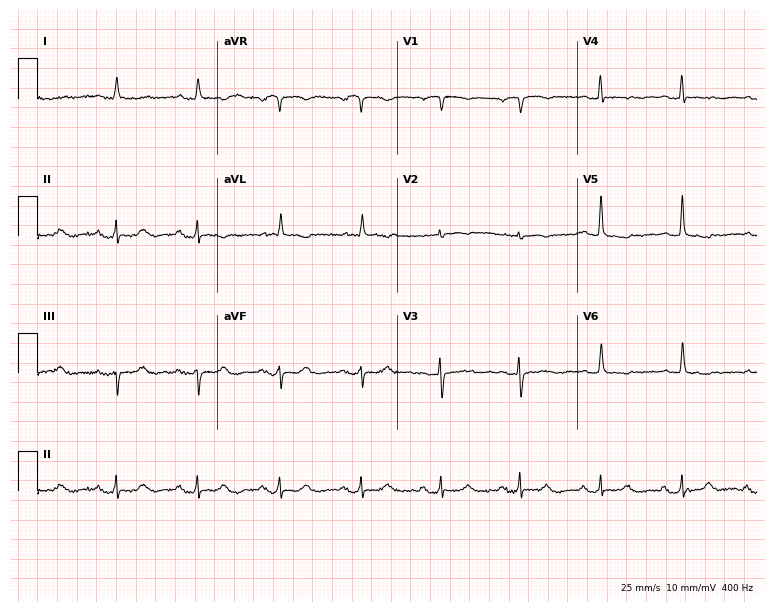
Resting 12-lead electrocardiogram (7.3-second recording at 400 Hz). Patient: a female, 89 years old. None of these six findings is recorded: first-degree AV block, right bundle branch block (RBBB), left bundle branch block (LBBB), sinus bradycardia, atrial fibrillation (AF), sinus tachycardia.